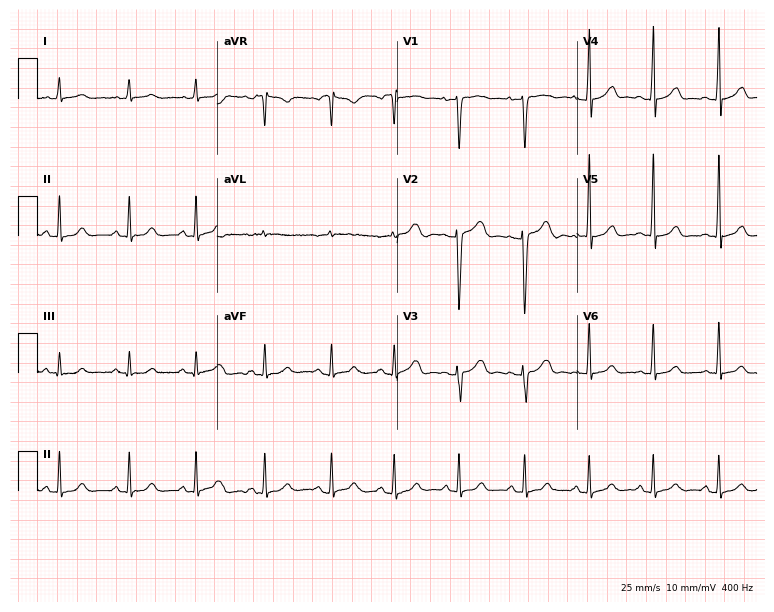
ECG — a 17-year-old female. Screened for six findings — first-degree AV block, right bundle branch block (RBBB), left bundle branch block (LBBB), sinus bradycardia, atrial fibrillation (AF), sinus tachycardia — none is recorded.